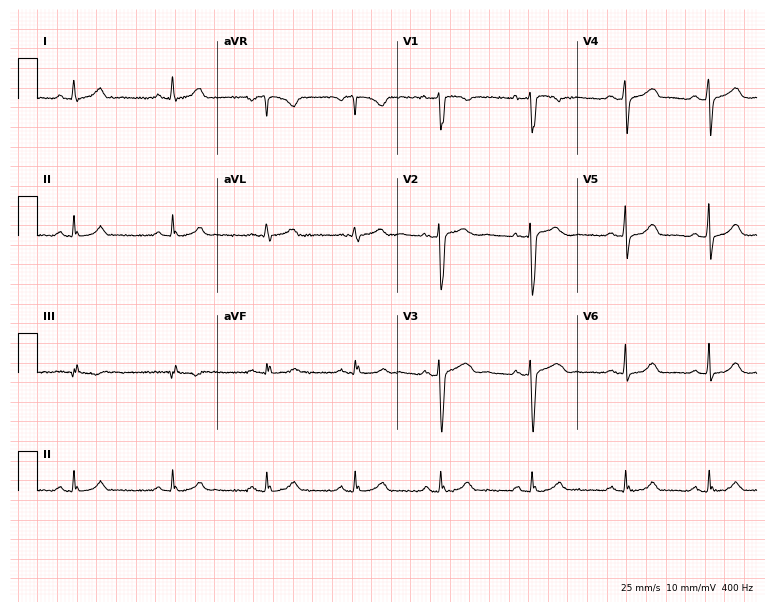
12-lead ECG (7.3-second recording at 400 Hz) from a 37-year-old female patient. Screened for six findings — first-degree AV block, right bundle branch block (RBBB), left bundle branch block (LBBB), sinus bradycardia, atrial fibrillation (AF), sinus tachycardia — none is recorded.